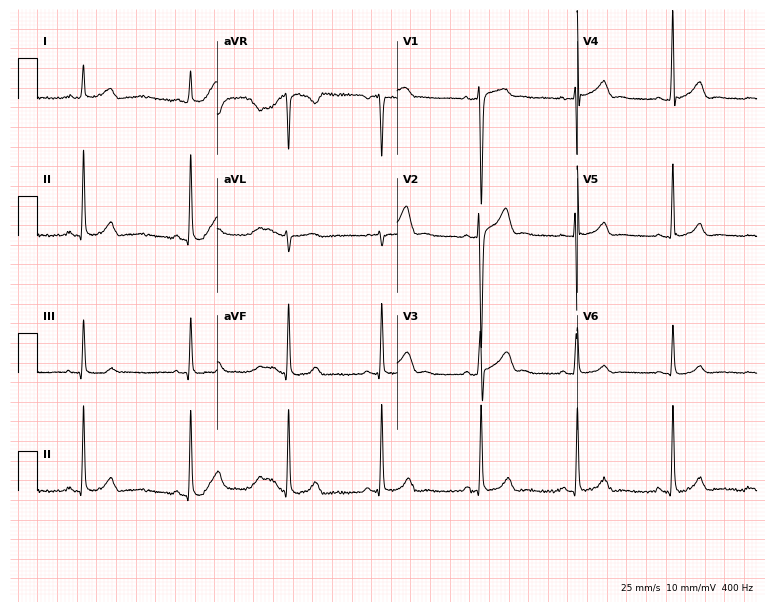
ECG (7.3-second recording at 400 Hz) — a 23-year-old male. Labelled as a normal ECG.